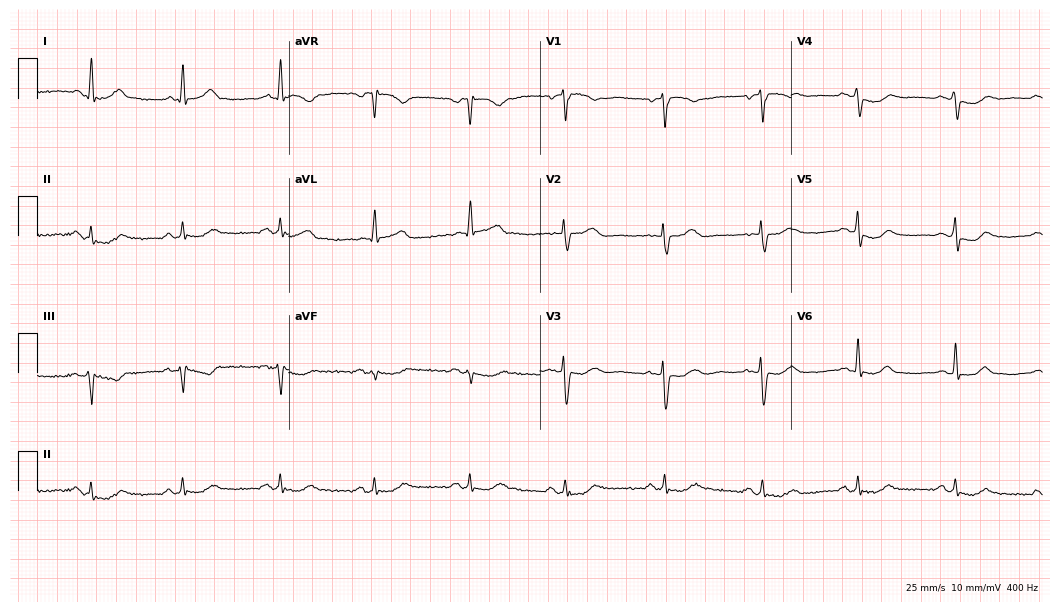
Standard 12-lead ECG recorded from a 53-year-old woman (10.2-second recording at 400 Hz). None of these six findings is recorded: first-degree AV block, right bundle branch block (RBBB), left bundle branch block (LBBB), sinus bradycardia, atrial fibrillation (AF), sinus tachycardia. Other findings, if any, are not listed.